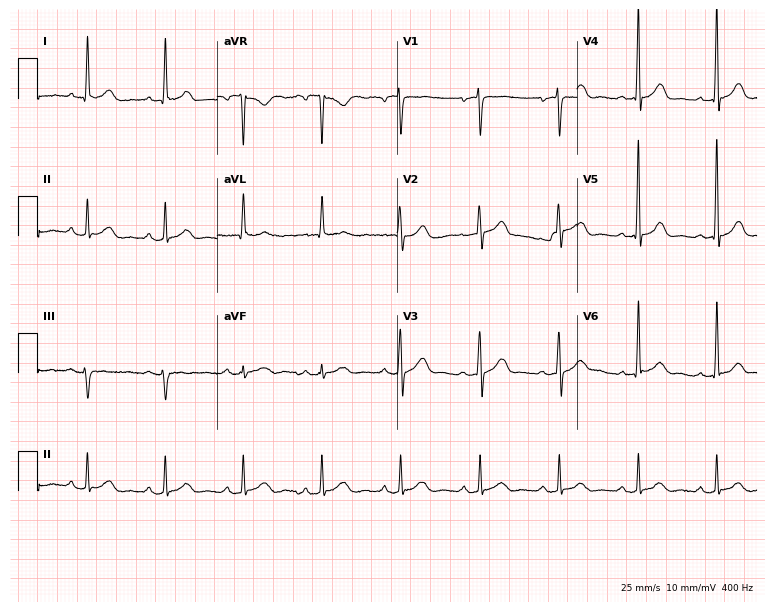
Resting 12-lead electrocardiogram (7.3-second recording at 400 Hz). Patient: a male, 76 years old. Read as a normal ECG.